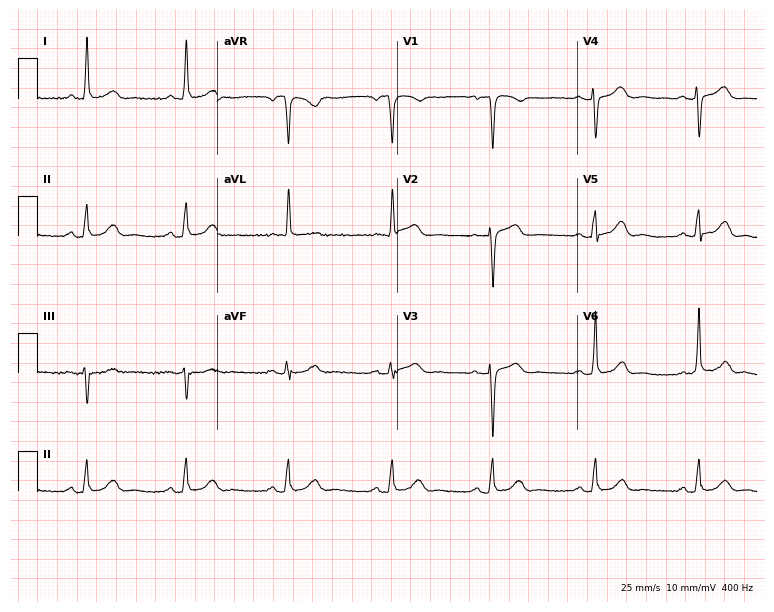
12-lead ECG from a woman, 80 years old. No first-degree AV block, right bundle branch block (RBBB), left bundle branch block (LBBB), sinus bradycardia, atrial fibrillation (AF) or sinus tachycardia recorded for this tracing.